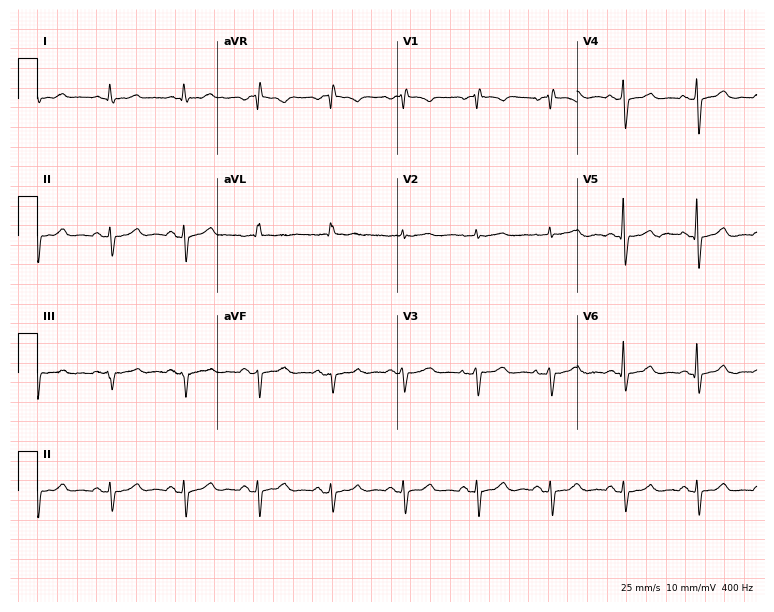
Standard 12-lead ECG recorded from an 81-year-old female patient (7.3-second recording at 400 Hz). None of these six findings is recorded: first-degree AV block, right bundle branch block, left bundle branch block, sinus bradycardia, atrial fibrillation, sinus tachycardia. Other findings, if any, are not listed.